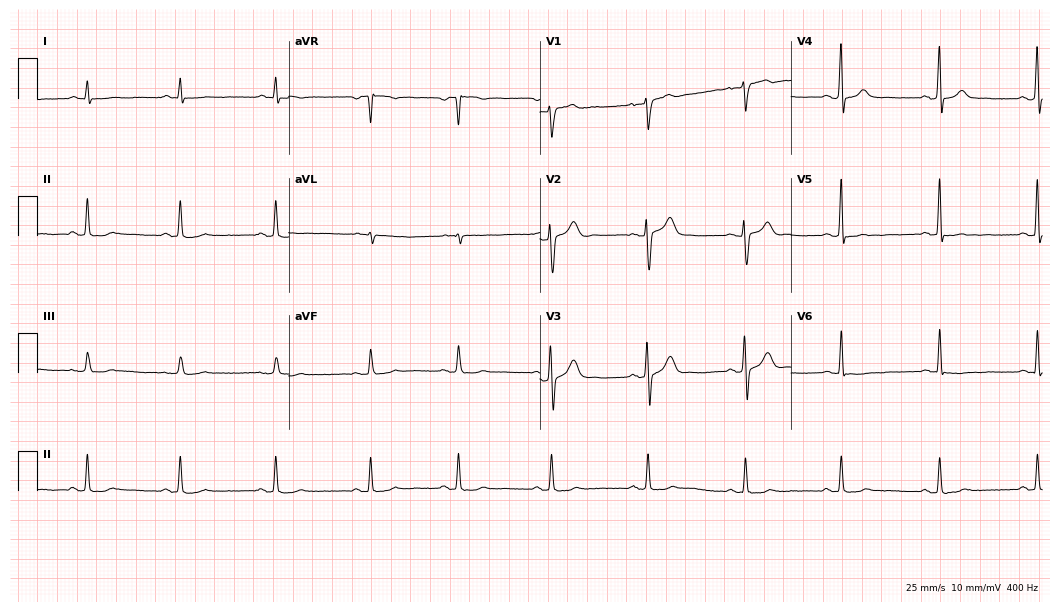
ECG — a male patient, 29 years old. Screened for six findings — first-degree AV block, right bundle branch block, left bundle branch block, sinus bradycardia, atrial fibrillation, sinus tachycardia — none is recorded. Only these six findings were labelled.